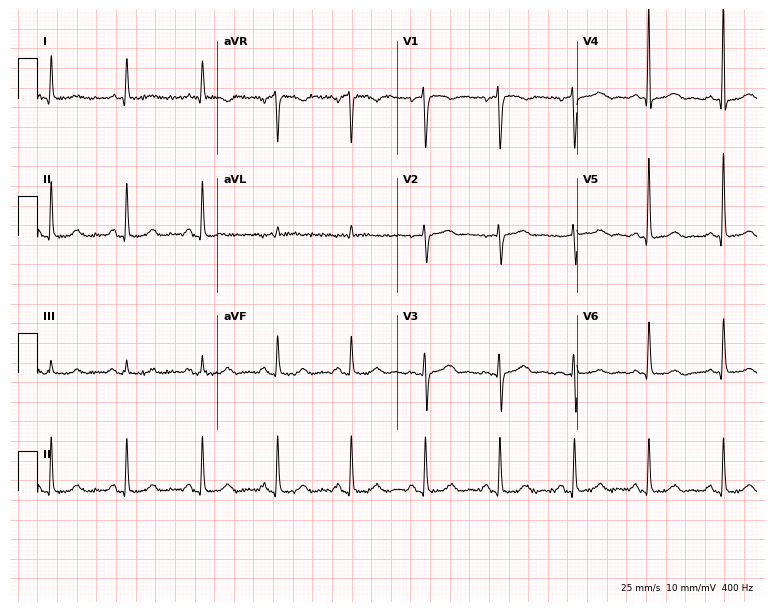
12-lead ECG from a female patient, 73 years old. Labelled as a normal ECG.